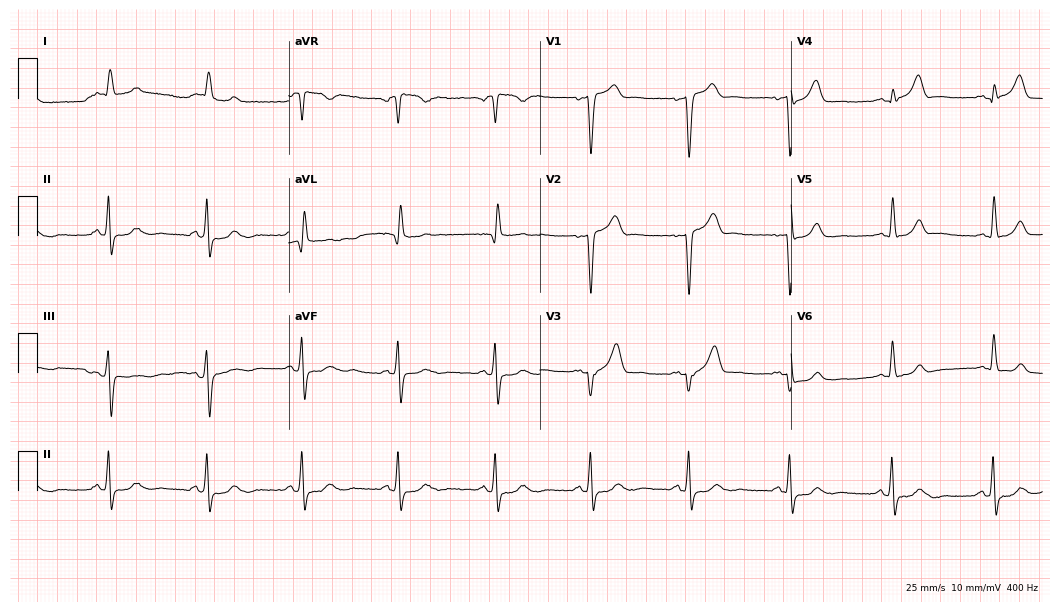
12-lead ECG (10.2-second recording at 400 Hz) from an 83-year-old male patient. Screened for six findings — first-degree AV block, right bundle branch block, left bundle branch block, sinus bradycardia, atrial fibrillation, sinus tachycardia — none is recorded.